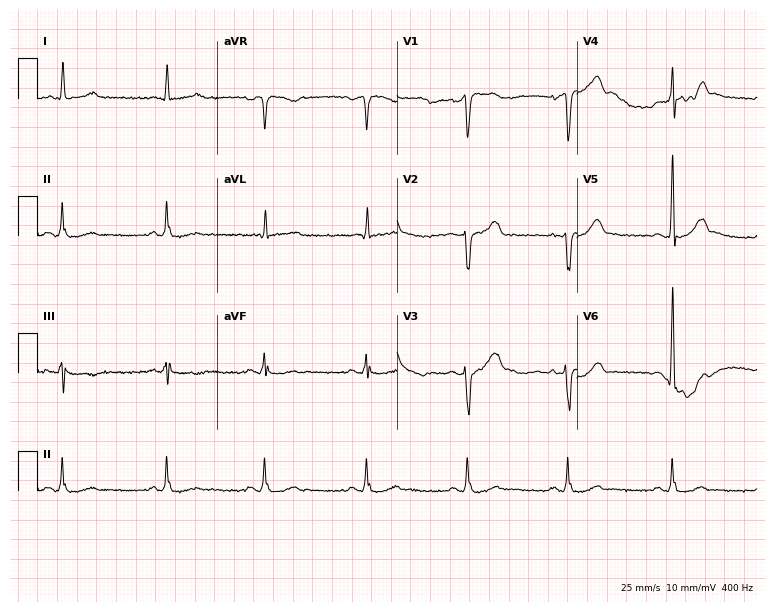
Standard 12-lead ECG recorded from a male patient, 62 years old. None of these six findings is recorded: first-degree AV block, right bundle branch block, left bundle branch block, sinus bradycardia, atrial fibrillation, sinus tachycardia. Findings outside these six are not listed.